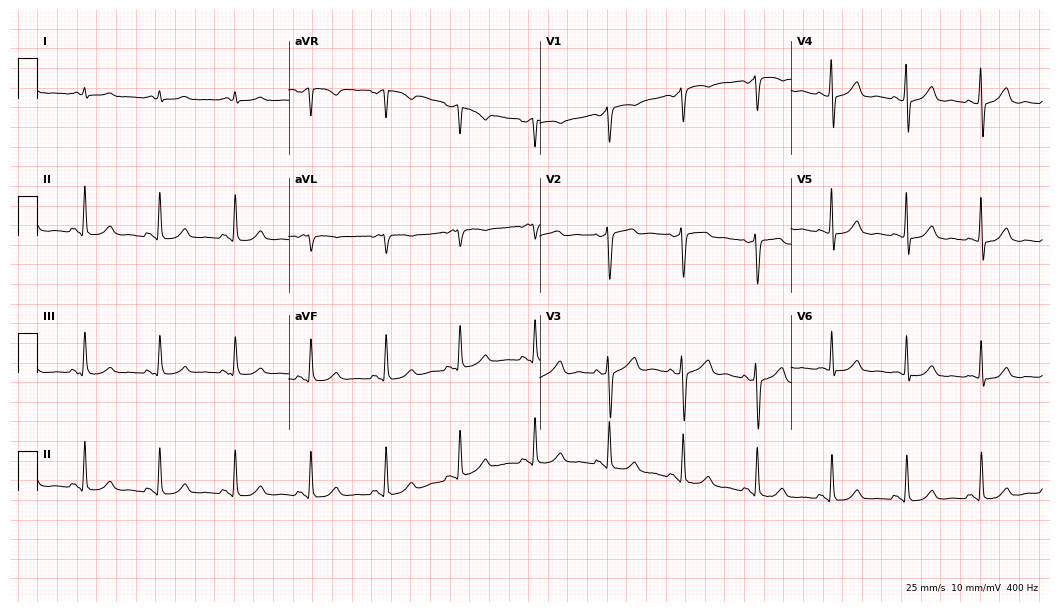
Resting 12-lead electrocardiogram. Patient: a 56-year-old man. Read as a normal ECG.